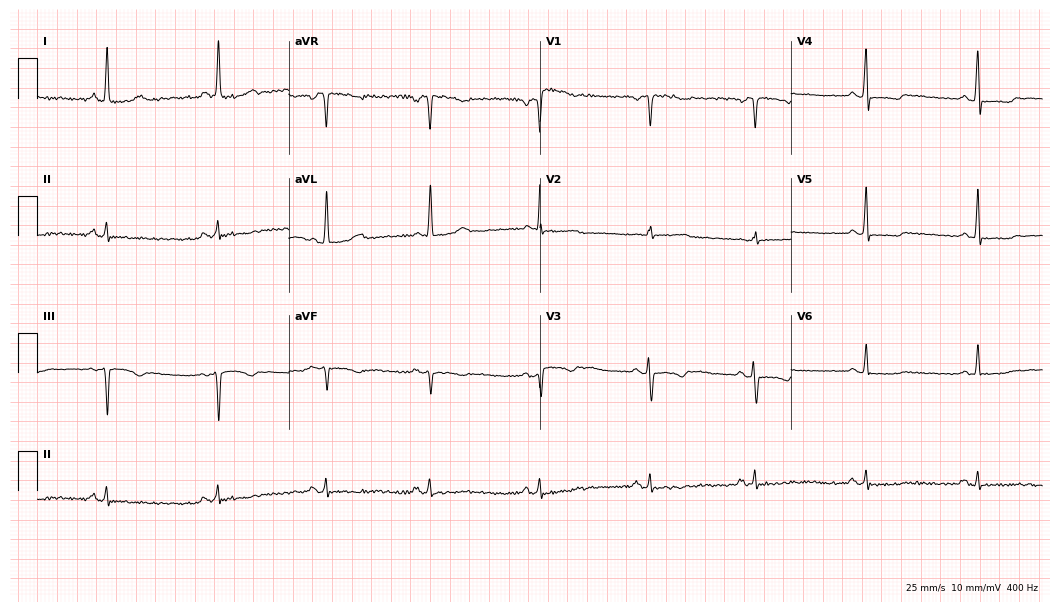
Standard 12-lead ECG recorded from a woman, 39 years old. None of these six findings is recorded: first-degree AV block, right bundle branch block, left bundle branch block, sinus bradycardia, atrial fibrillation, sinus tachycardia. Only these six findings were labelled.